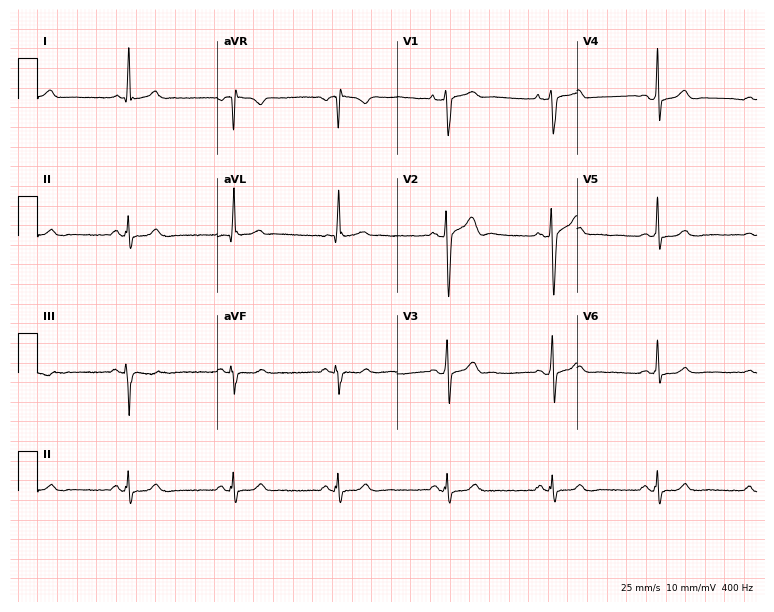
12-lead ECG (7.3-second recording at 400 Hz) from a male patient, 39 years old. Labelled as a normal ECG.